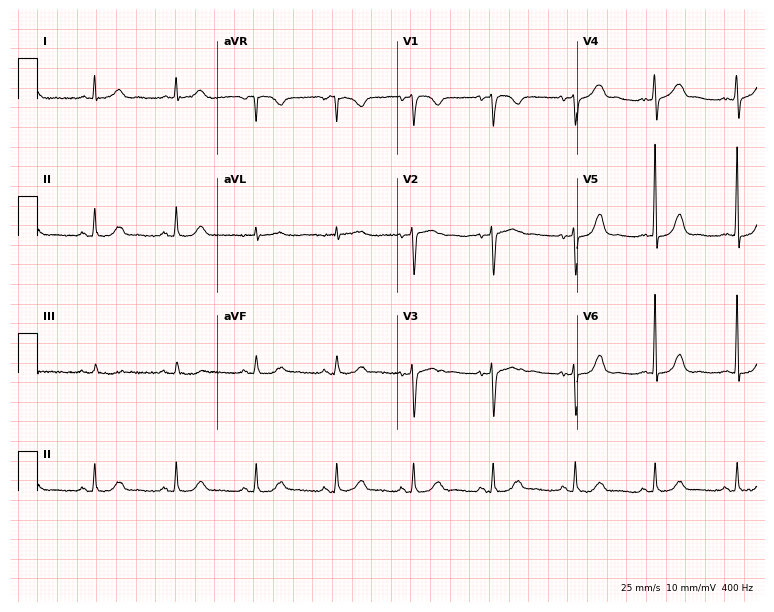
ECG — a 59-year-old female. Labelled as a normal ECG.